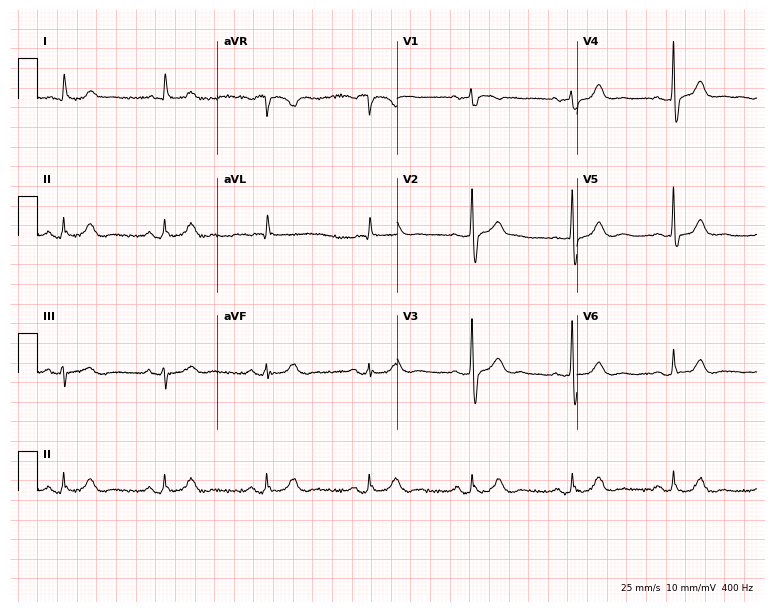
Electrocardiogram (7.3-second recording at 400 Hz), a male patient, 83 years old. Of the six screened findings (first-degree AV block, right bundle branch block, left bundle branch block, sinus bradycardia, atrial fibrillation, sinus tachycardia), none is recorded. Only these six findings were labelled.